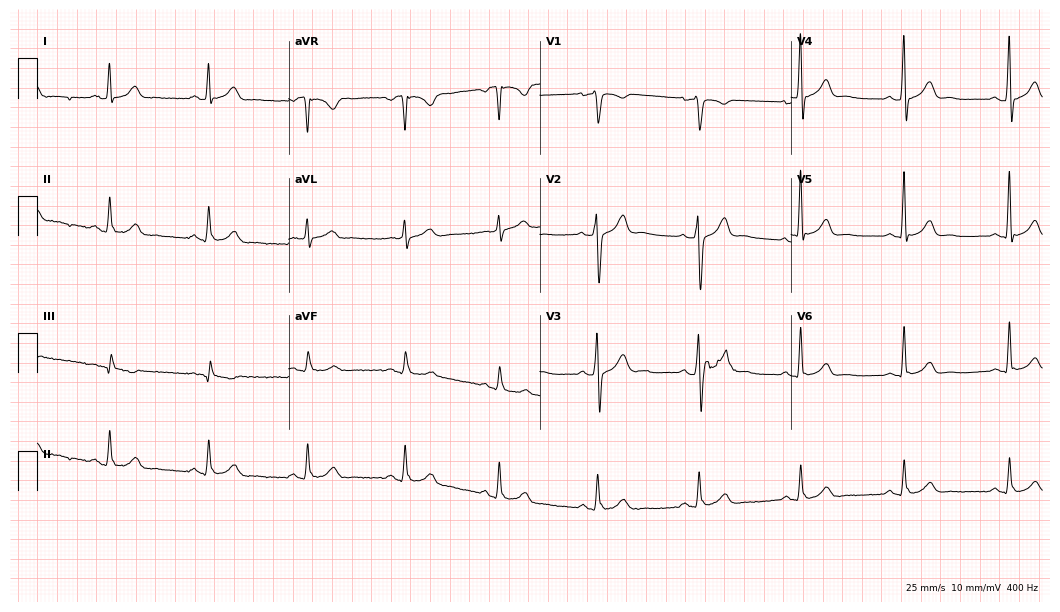
12-lead ECG (10.2-second recording at 400 Hz) from a 39-year-old male patient. Labelled as a normal ECG.